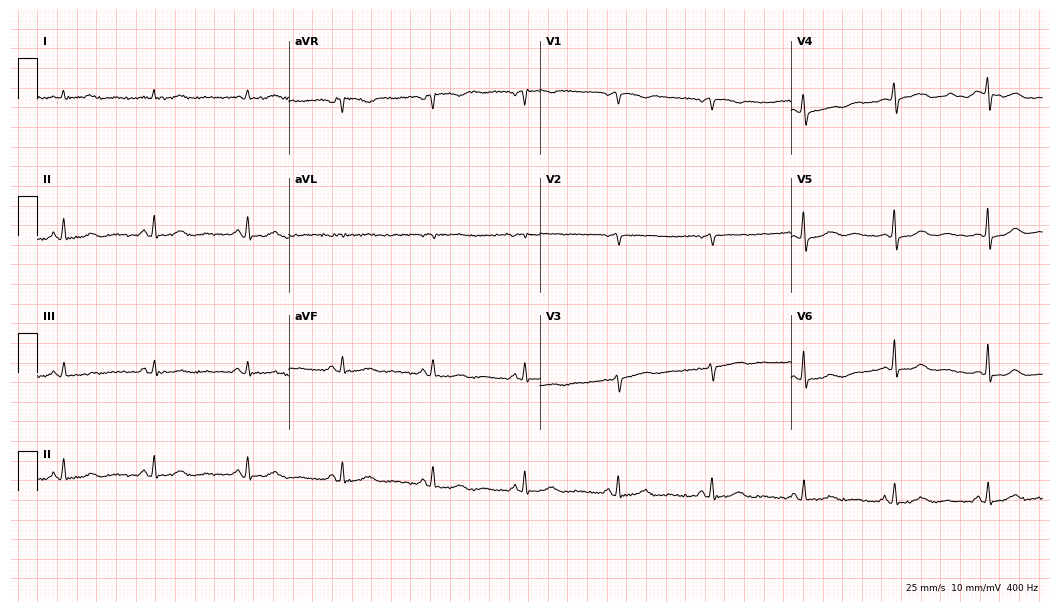
Standard 12-lead ECG recorded from a female patient, 67 years old. Read as a normal ECG.